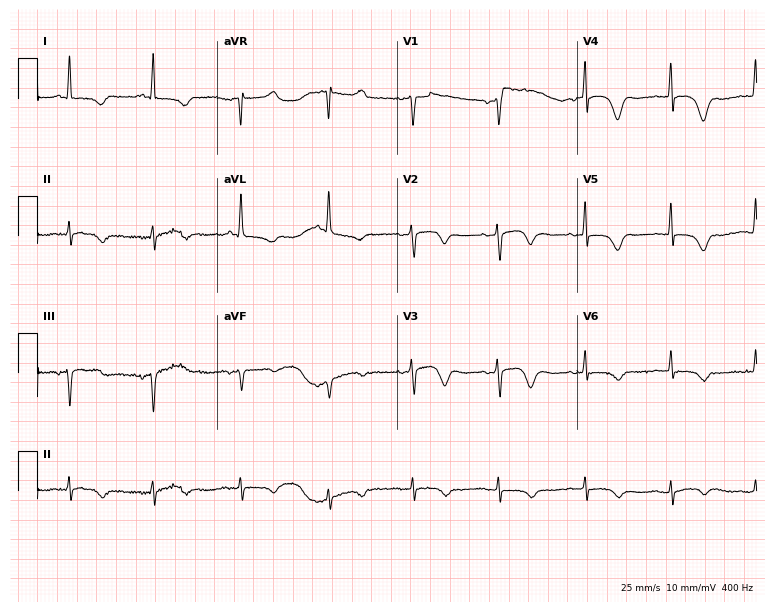
Electrocardiogram, a female patient, 76 years old. Of the six screened findings (first-degree AV block, right bundle branch block, left bundle branch block, sinus bradycardia, atrial fibrillation, sinus tachycardia), none is recorded. Other findings, if any, are not listed.